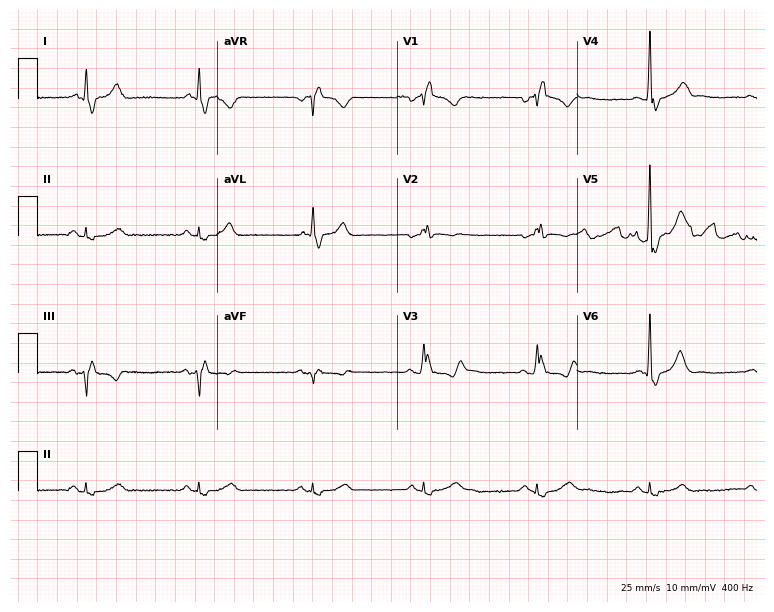
ECG — a 65-year-old male. Findings include right bundle branch block.